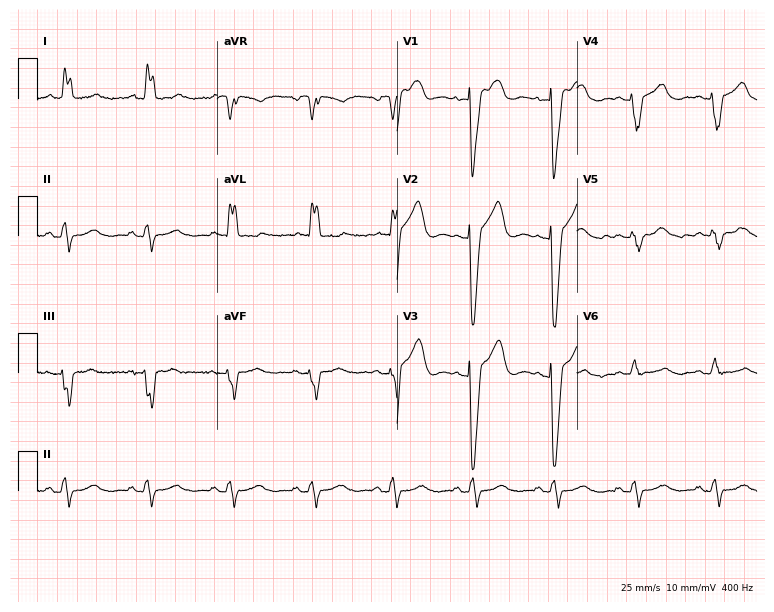
Standard 12-lead ECG recorded from a female, 63 years old (7.3-second recording at 400 Hz). None of these six findings is recorded: first-degree AV block, right bundle branch block (RBBB), left bundle branch block (LBBB), sinus bradycardia, atrial fibrillation (AF), sinus tachycardia.